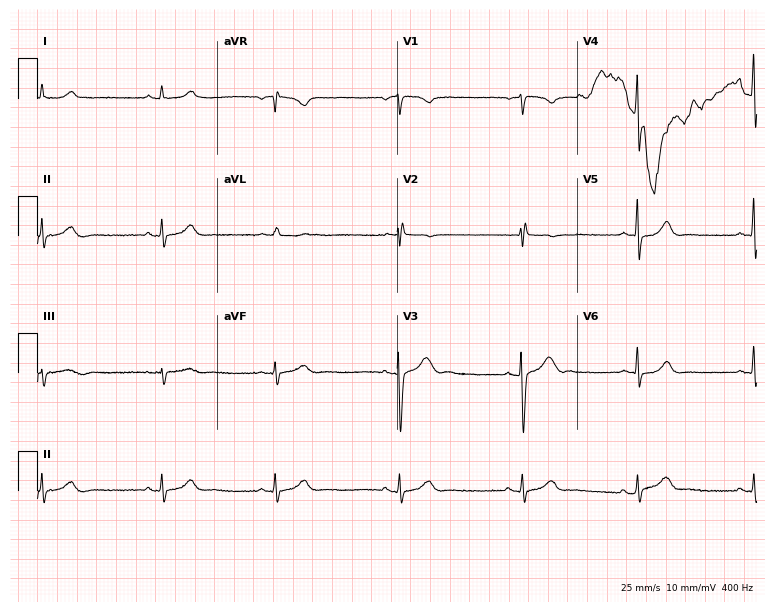
Electrocardiogram, a female, 17 years old. Of the six screened findings (first-degree AV block, right bundle branch block, left bundle branch block, sinus bradycardia, atrial fibrillation, sinus tachycardia), none is recorded. Only these six findings were labelled.